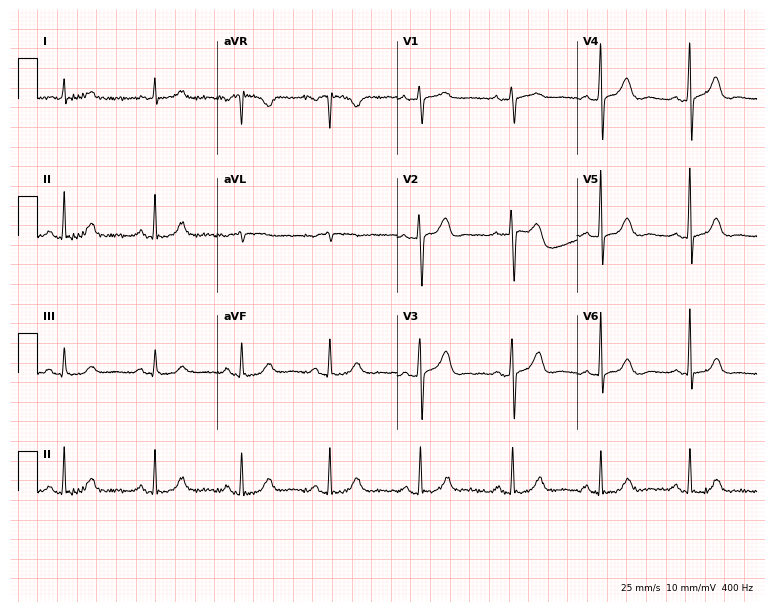
Resting 12-lead electrocardiogram. Patient: a 65-year-old woman. None of these six findings is recorded: first-degree AV block, right bundle branch block (RBBB), left bundle branch block (LBBB), sinus bradycardia, atrial fibrillation (AF), sinus tachycardia.